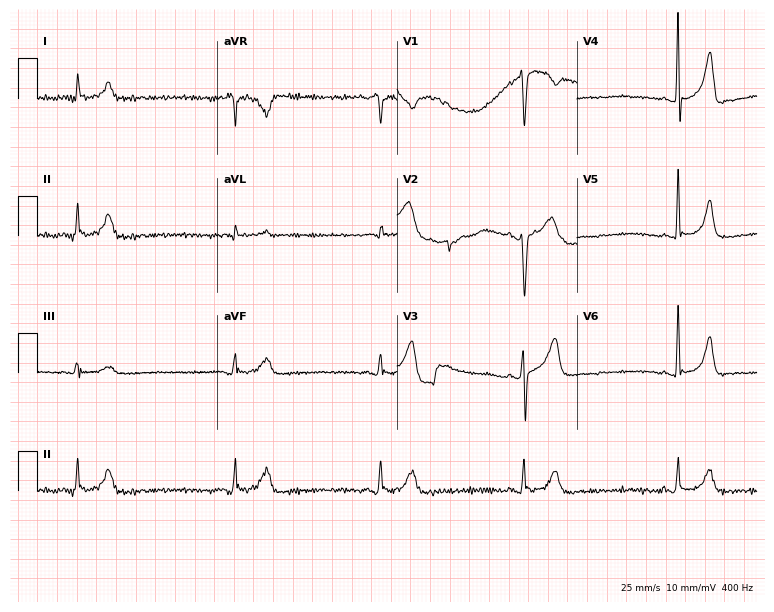
Resting 12-lead electrocardiogram (7.3-second recording at 400 Hz). Patient: a woman, 57 years old. The tracing shows sinus bradycardia (a sinus rate of 50 beats per minute or less).